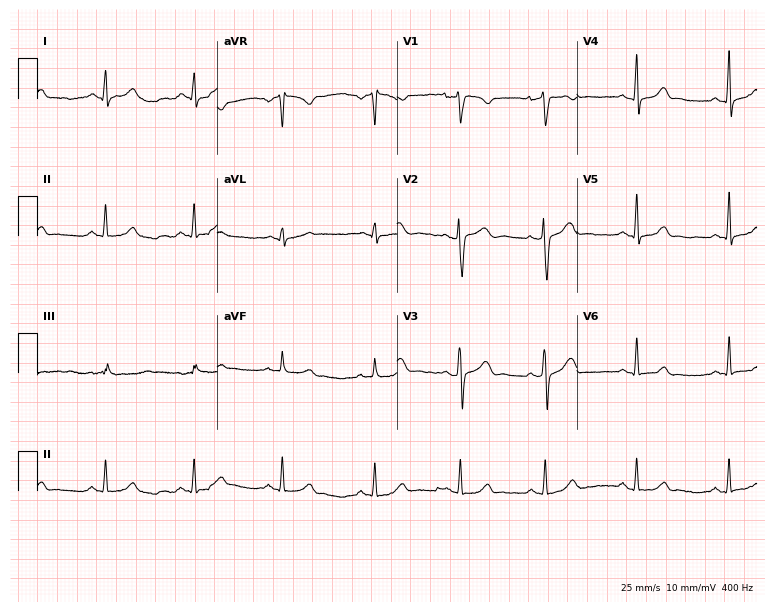
12-lead ECG from a 27-year-old female. Labelled as a normal ECG.